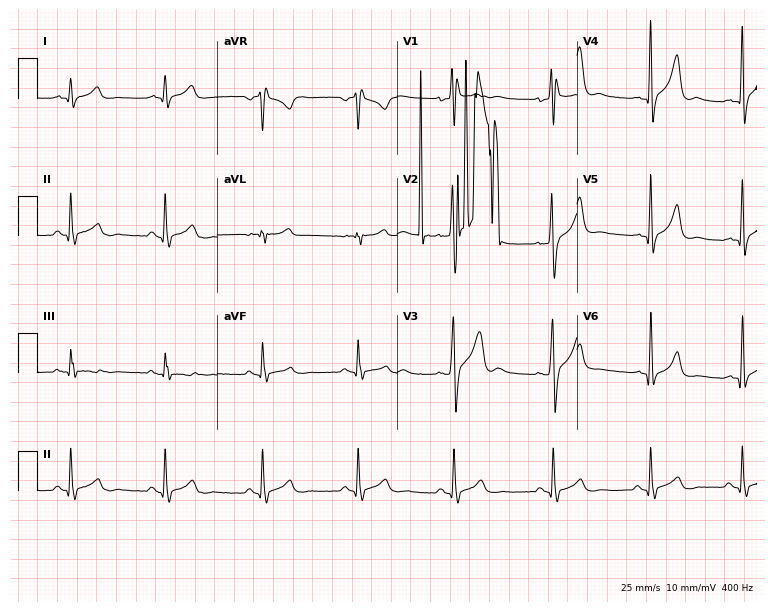
12-lead ECG from an 18-year-old man. No first-degree AV block, right bundle branch block, left bundle branch block, sinus bradycardia, atrial fibrillation or sinus tachycardia recorded for this tracing. Findings outside these six are not listed.